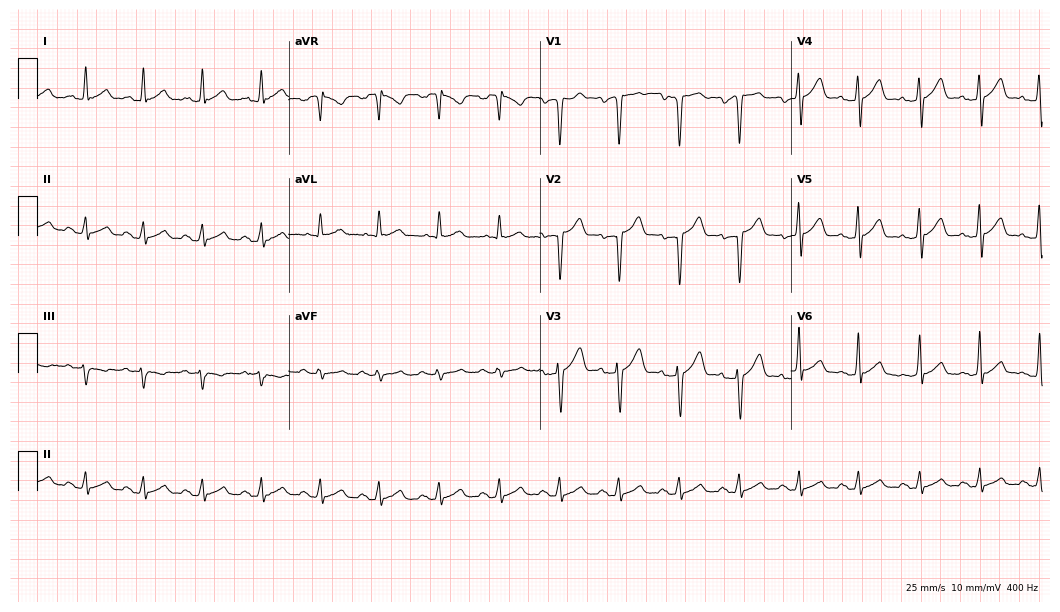
Standard 12-lead ECG recorded from a man, 58 years old (10.2-second recording at 400 Hz). None of these six findings is recorded: first-degree AV block, right bundle branch block (RBBB), left bundle branch block (LBBB), sinus bradycardia, atrial fibrillation (AF), sinus tachycardia.